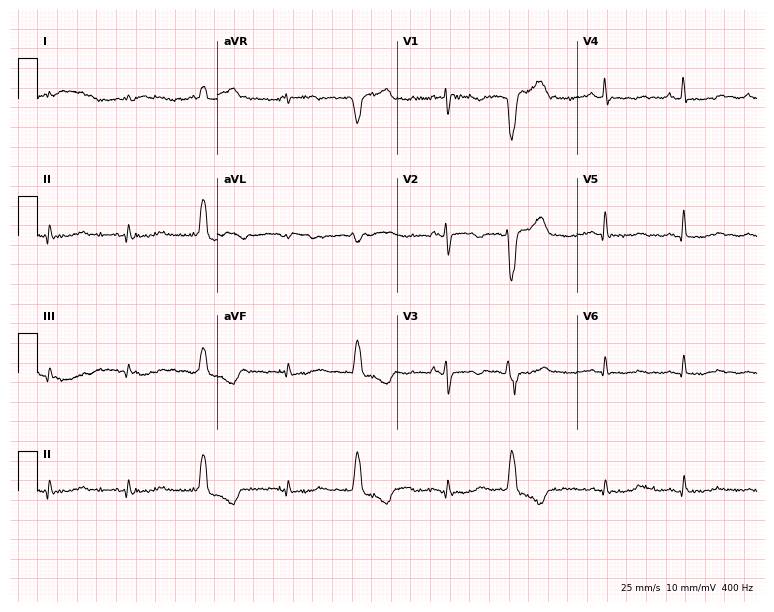
ECG (7.3-second recording at 400 Hz) — a male, 53 years old. Screened for six findings — first-degree AV block, right bundle branch block, left bundle branch block, sinus bradycardia, atrial fibrillation, sinus tachycardia — none is recorded. Only these six findings were labelled.